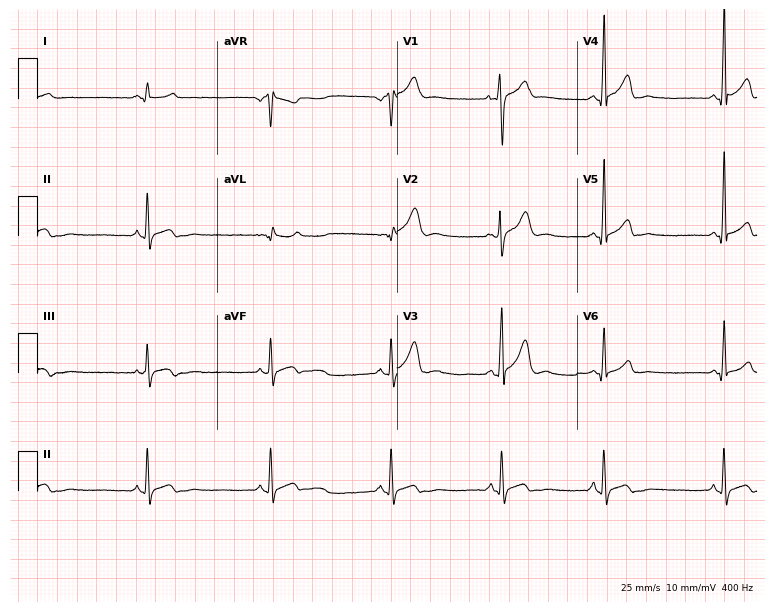
12-lead ECG from a male, 19 years old. No first-degree AV block, right bundle branch block, left bundle branch block, sinus bradycardia, atrial fibrillation or sinus tachycardia recorded for this tracing.